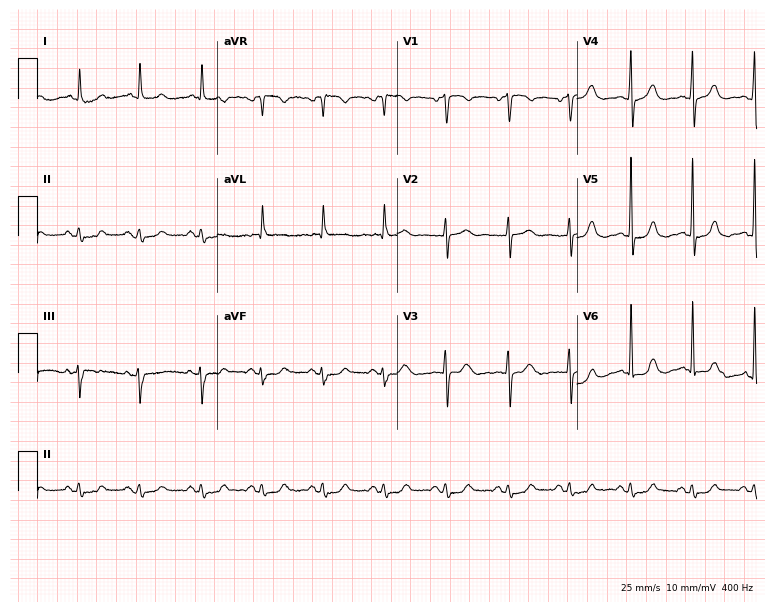
Electrocardiogram, a 69-year-old female. Of the six screened findings (first-degree AV block, right bundle branch block, left bundle branch block, sinus bradycardia, atrial fibrillation, sinus tachycardia), none is recorded. Other findings, if any, are not listed.